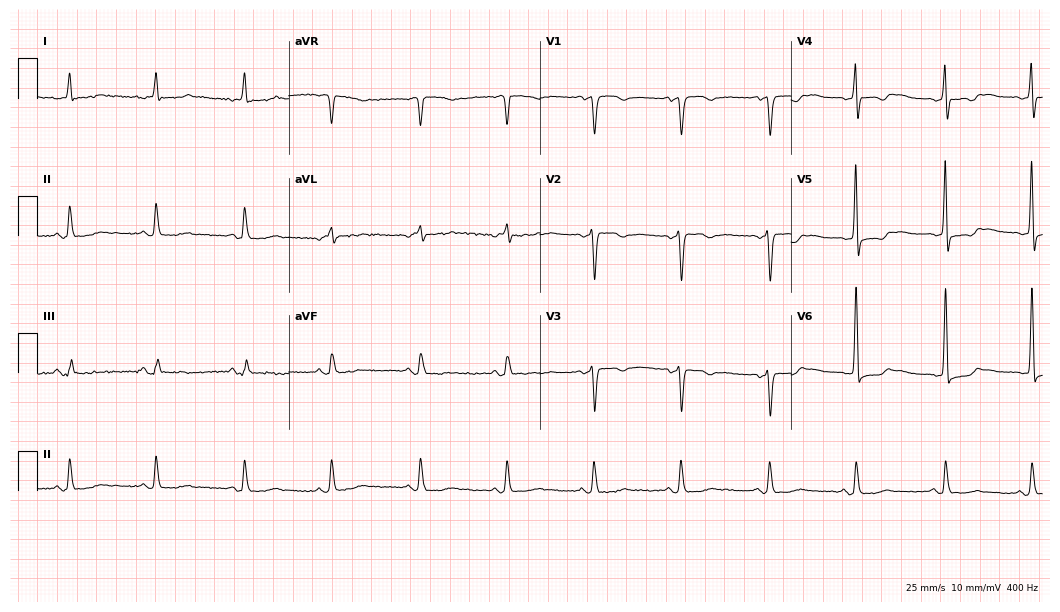
Standard 12-lead ECG recorded from a female, 84 years old. None of these six findings is recorded: first-degree AV block, right bundle branch block, left bundle branch block, sinus bradycardia, atrial fibrillation, sinus tachycardia. Findings outside these six are not listed.